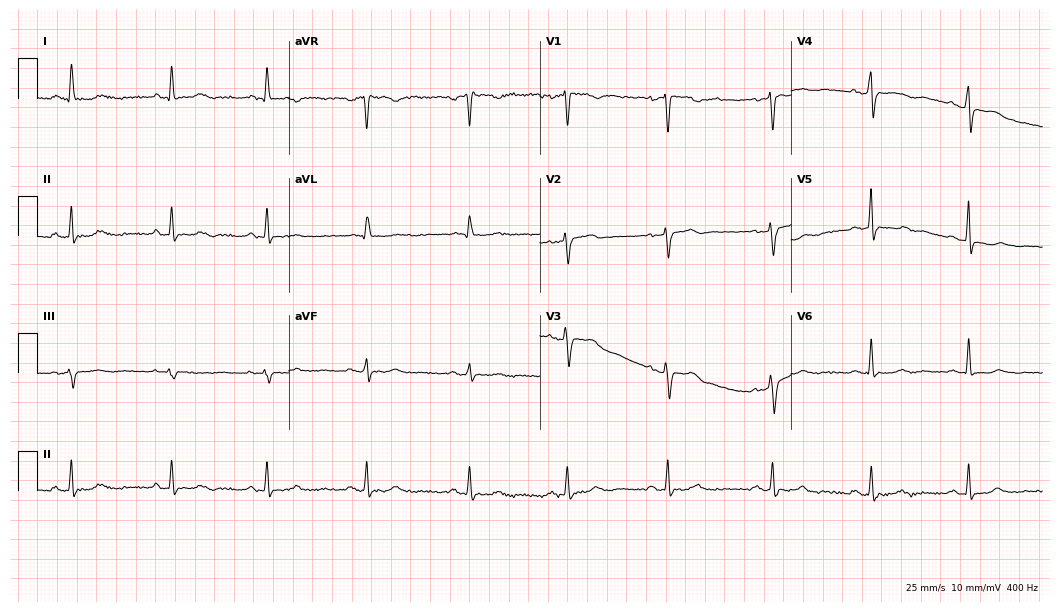
12-lead ECG (10.2-second recording at 400 Hz) from a female patient, 58 years old. Screened for six findings — first-degree AV block, right bundle branch block, left bundle branch block, sinus bradycardia, atrial fibrillation, sinus tachycardia — none is recorded.